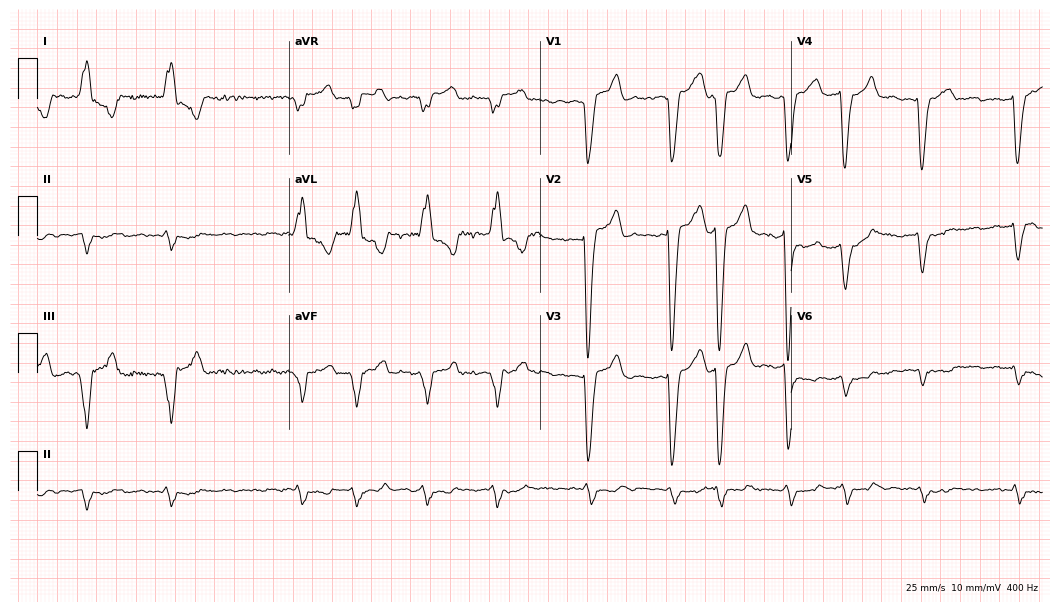
12-lead ECG from a 70-year-old female. Findings include left bundle branch block, atrial fibrillation.